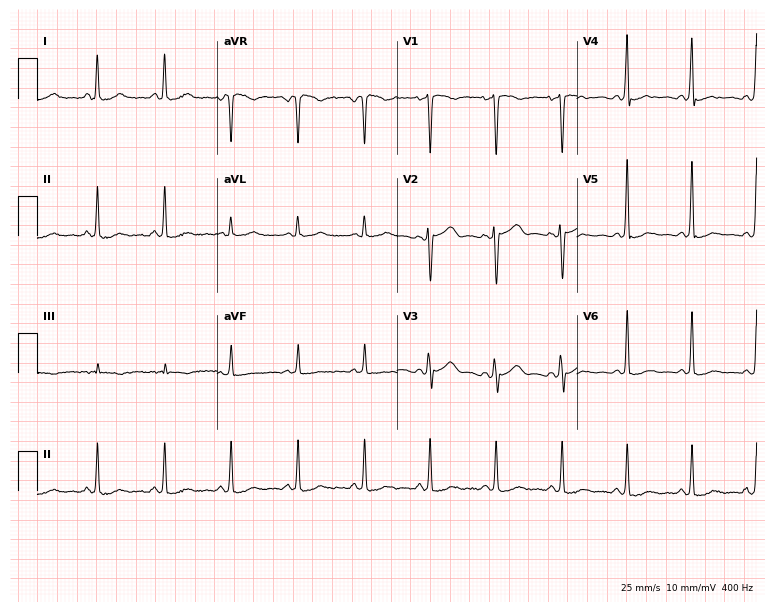
Electrocardiogram, a 38-year-old female. Of the six screened findings (first-degree AV block, right bundle branch block, left bundle branch block, sinus bradycardia, atrial fibrillation, sinus tachycardia), none is recorded. Findings outside these six are not listed.